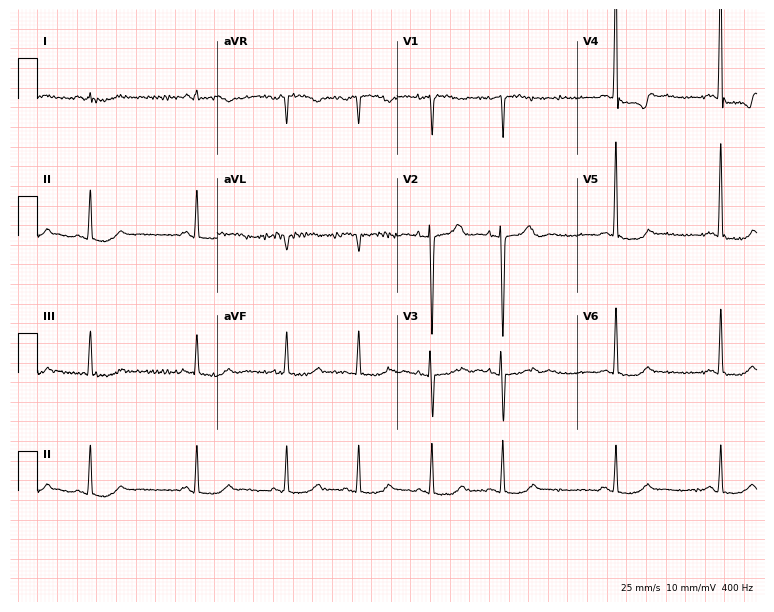
12-lead ECG from a female, 68 years old. No first-degree AV block, right bundle branch block, left bundle branch block, sinus bradycardia, atrial fibrillation or sinus tachycardia recorded for this tracing. Findings outside these six are not listed.